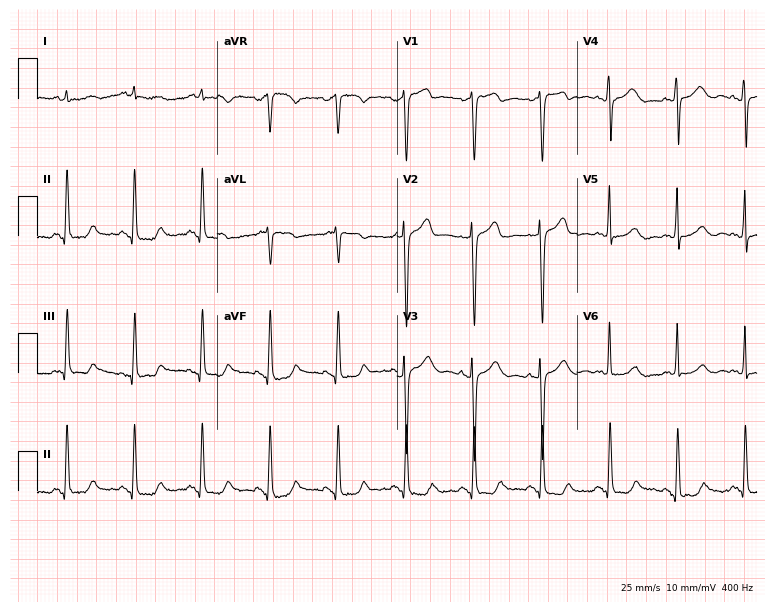
Electrocardiogram (7.3-second recording at 400 Hz), a man, 56 years old. Of the six screened findings (first-degree AV block, right bundle branch block (RBBB), left bundle branch block (LBBB), sinus bradycardia, atrial fibrillation (AF), sinus tachycardia), none is recorded.